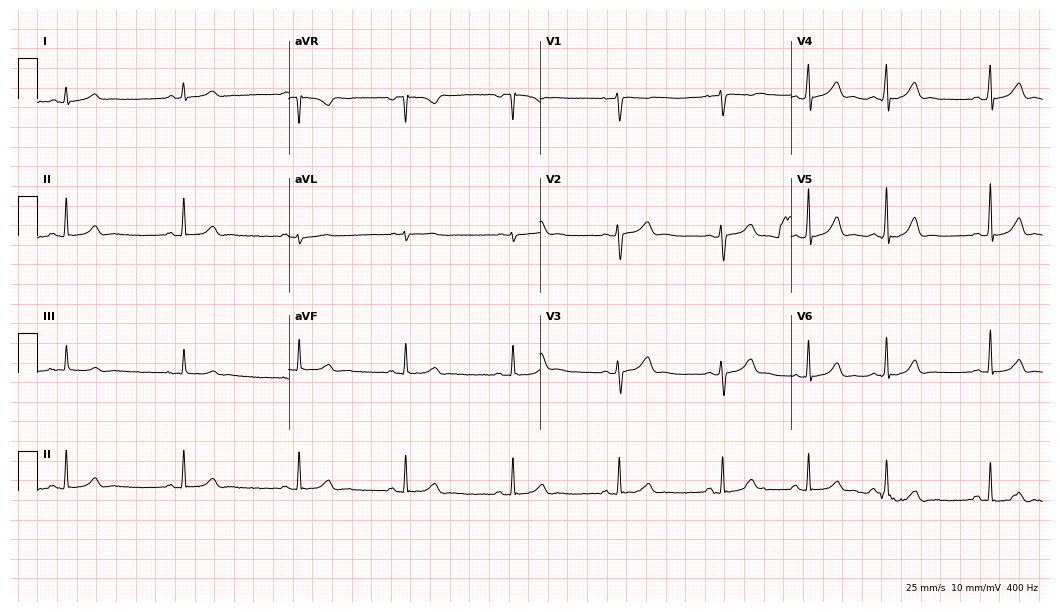
Standard 12-lead ECG recorded from a woman, 18 years old. Read as a normal ECG.